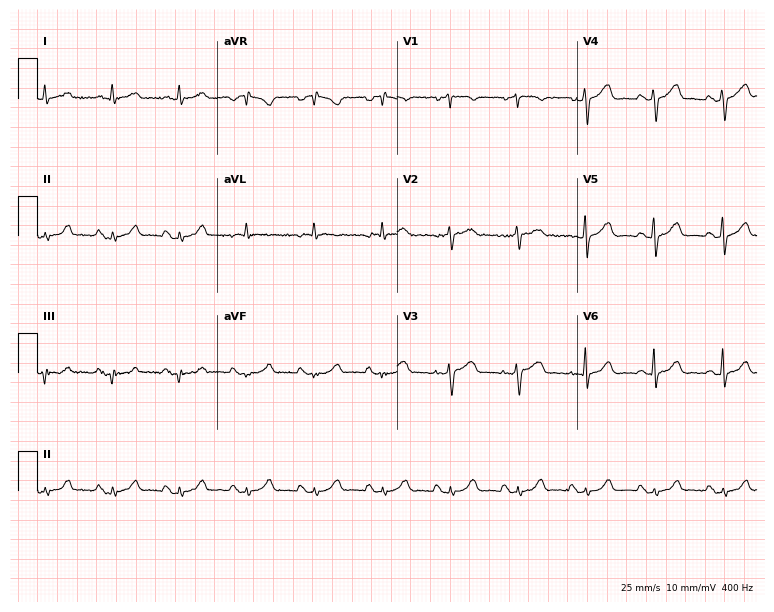
12-lead ECG (7.3-second recording at 400 Hz) from a male patient, 79 years old. Labelled as a normal ECG.